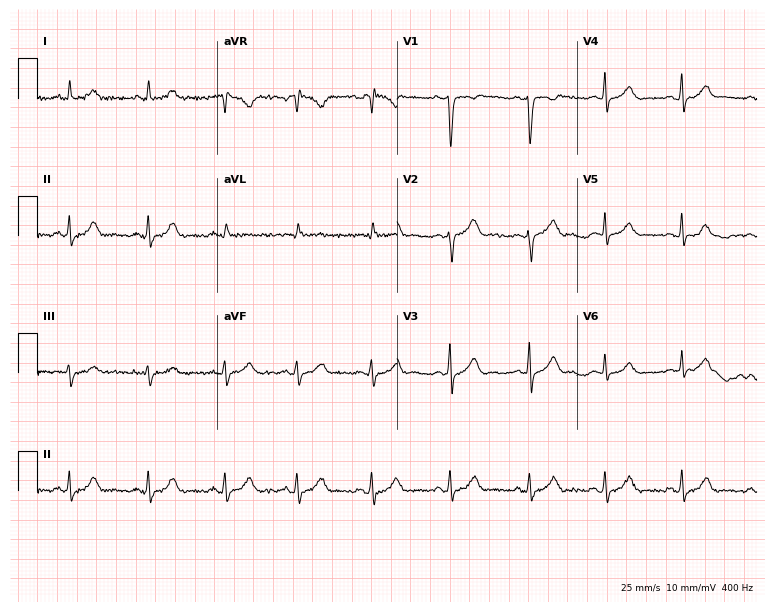
12-lead ECG (7.3-second recording at 400 Hz) from a 28-year-old female. Screened for six findings — first-degree AV block, right bundle branch block, left bundle branch block, sinus bradycardia, atrial fibrillation, sinus tachycardia — none is recorded.